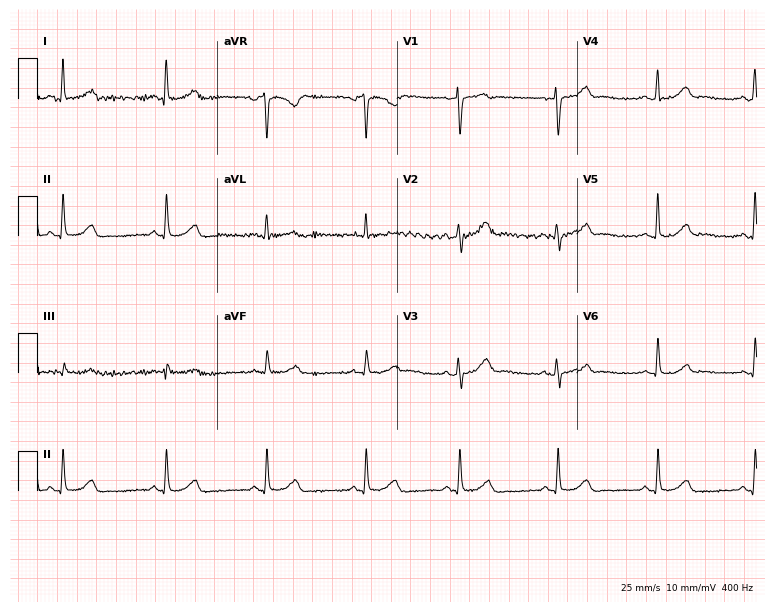
12-lead ECG (7.3-second recording at 400 Hz) from a woman, 53 years old. Labelled as a normal ECG.